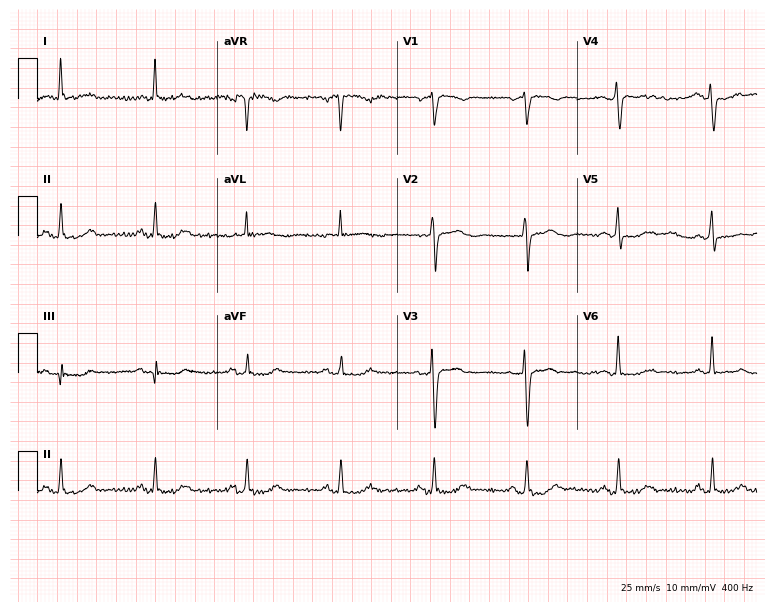
ECG — an 84-year-old female. Labelled as a normal ECG.